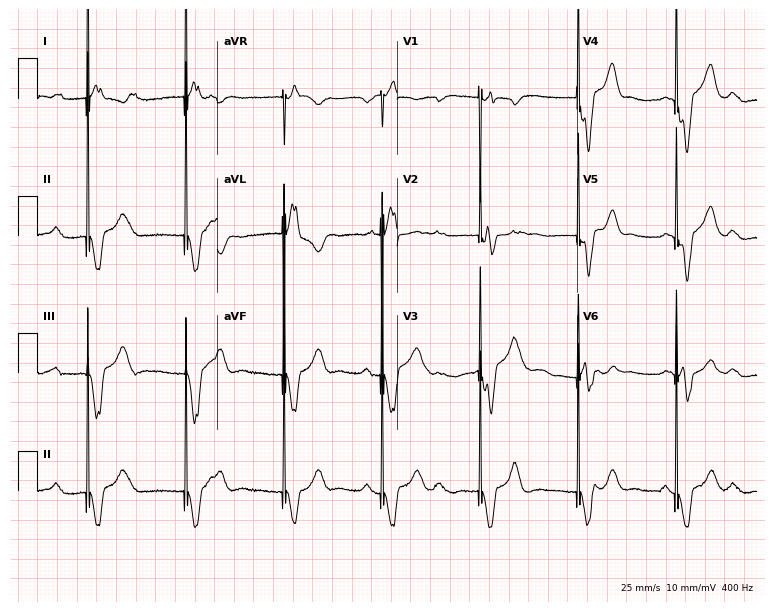
Standard 12-lead ECG recorded from a 68-year-old female. None of these six findings is recorded: first-degree AV block, right bundle branch block (RBBB), left bundle branch block (LBBB), sinus bradycardia, atrial fibrillation (AF), sinus tachycardia. Only these six findings were labelled.